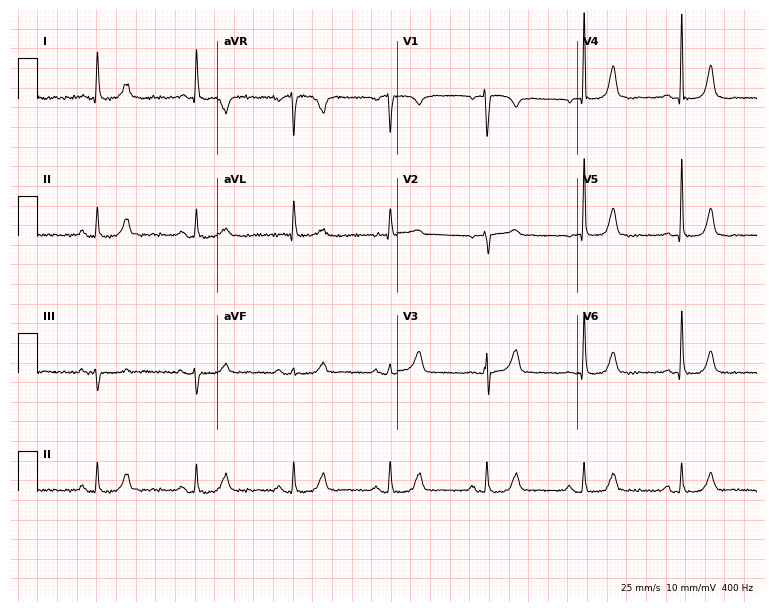
Standard 12-lead ECG recorded from a female, 76 years old (7.3-second recording at 400 Hz). Read as a normal ECG.